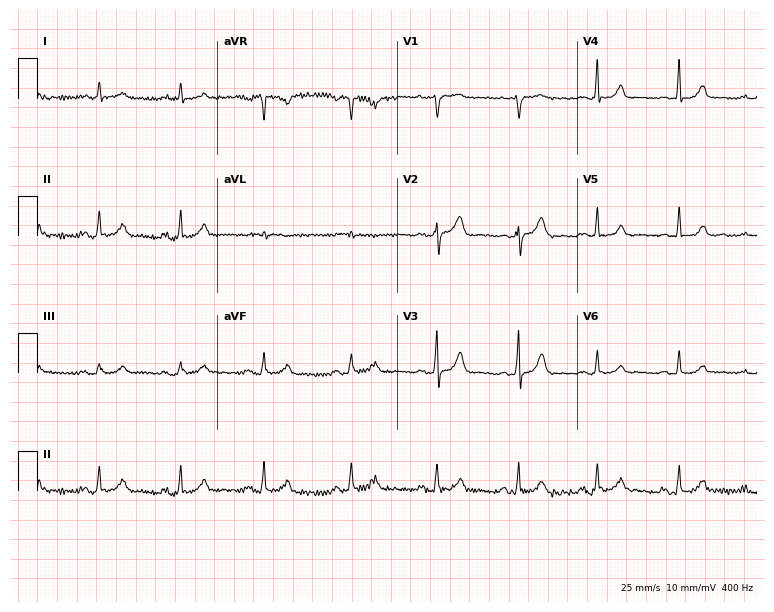
Resting 12-lead electrocardiogram. Patient: a female, 34 years old. Read as a normal ECG.